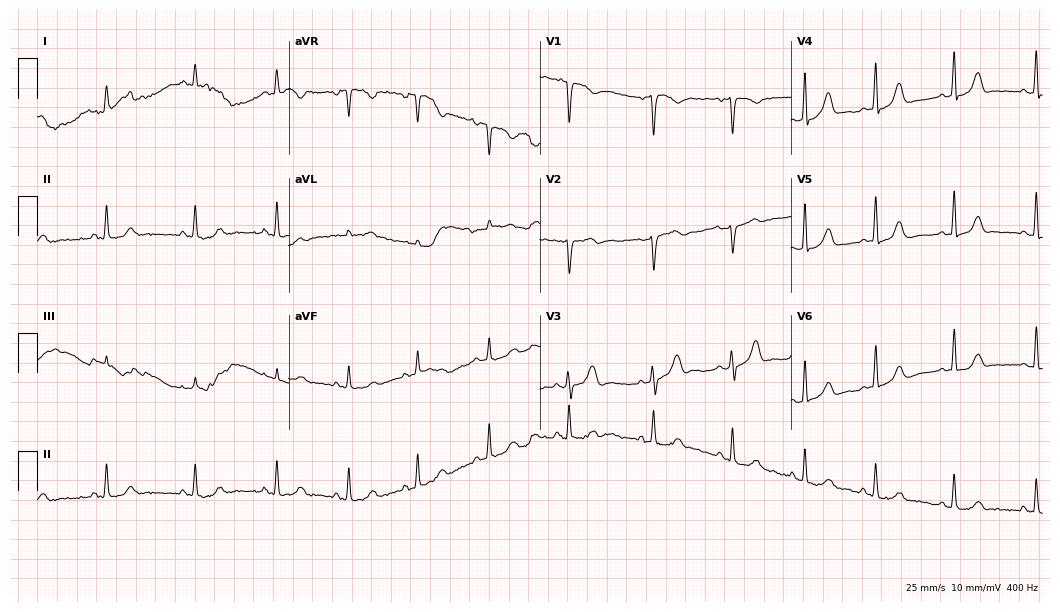
ECG — a 24-year-old female patient. Labelled as a normal ECG.